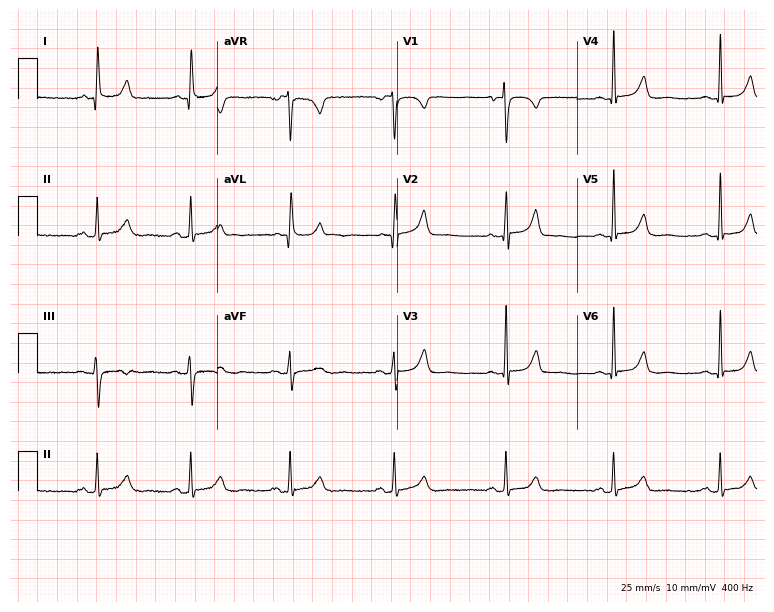
12-lead ECG from a woman, 77 years old (7.3-second recording at 400 Hz). Recorded interpretation: within normal limits.